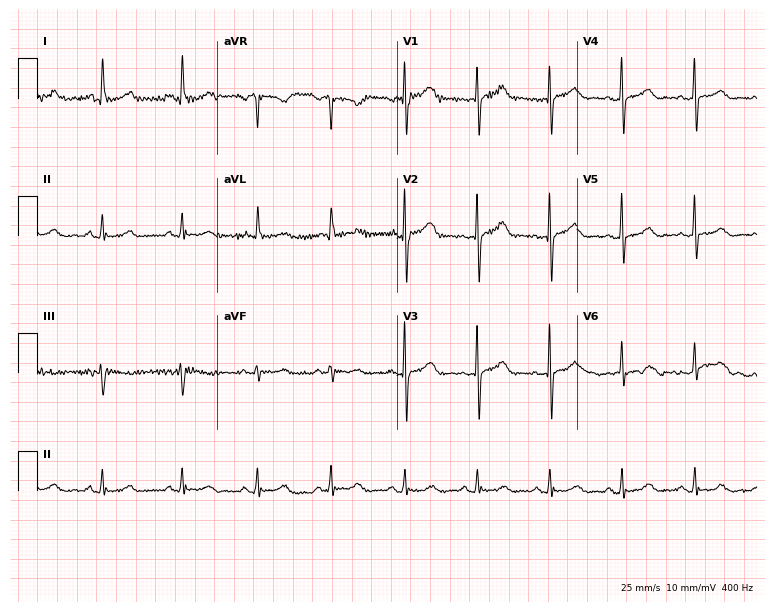
Standard 12-lead ECG recorded from a female, 70 years old. Read as a normal ECG.